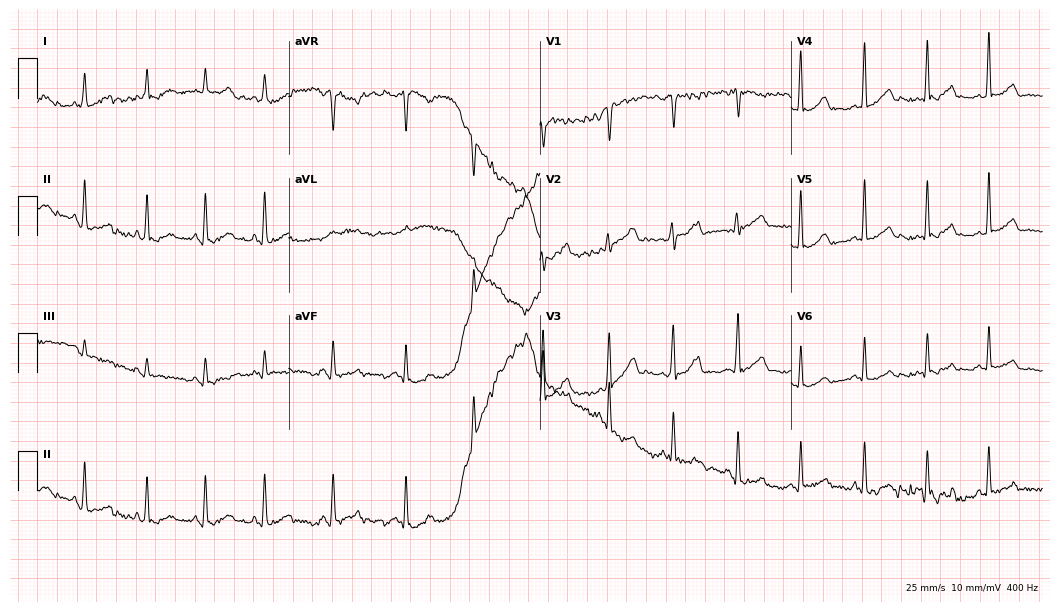
Resting 12-lead electrocardiogram (10.2-second recording at 400 Hz). Patient: a 32-year-old female. Read as a normal ECG.